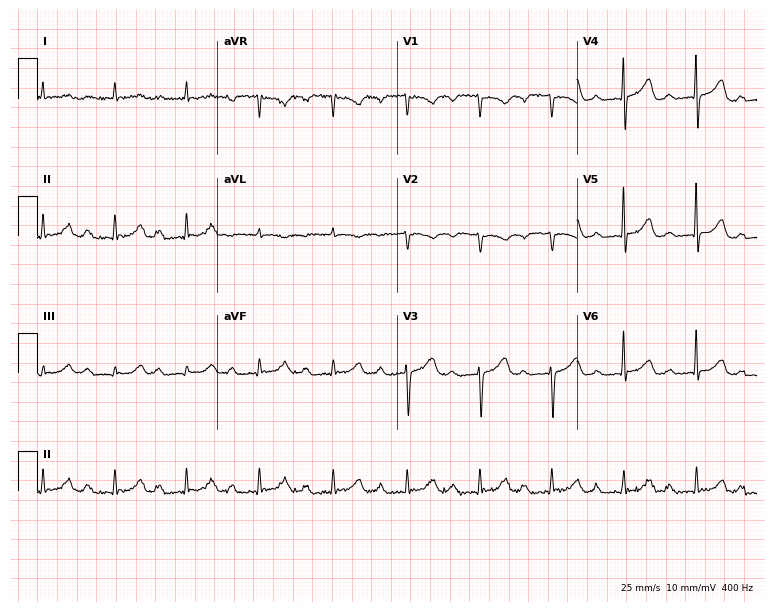
ECG — a male, 83 years old. Findings include first-degree AV block.